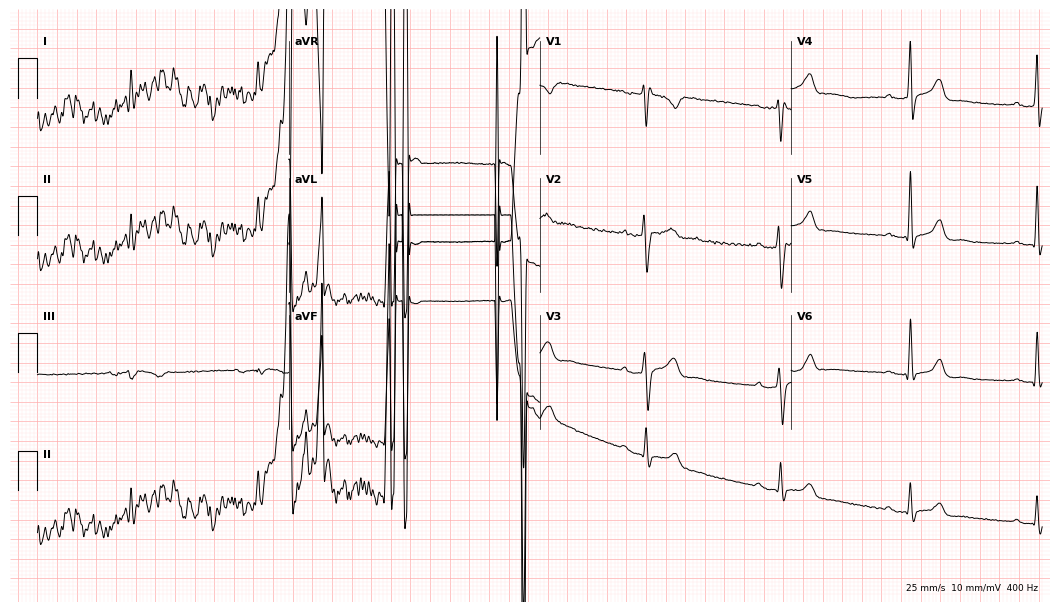
Standard 12-lead ECG recorded from a 52-year-old male. The tracing shows first-degree AV block.